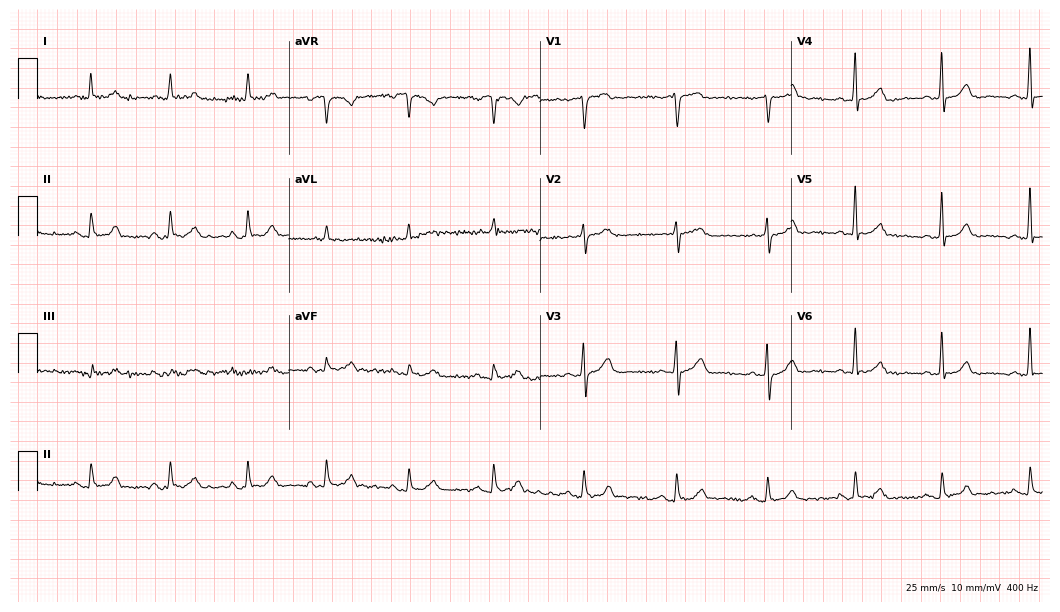
Resting 12-lead electrocardiogram. Patient: a 60-year-old male. Read as a normal ECG.